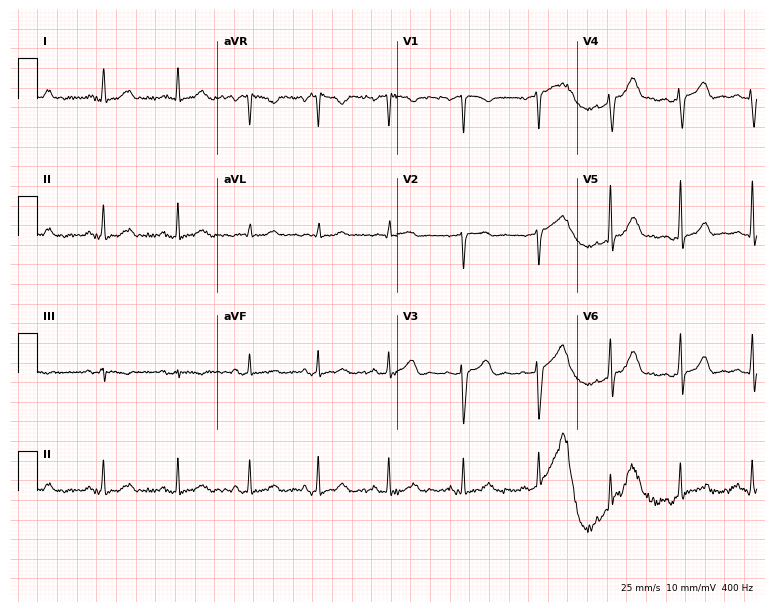
12-lead ECG from a 44-year-old female patient. Recorded interpretation: within normal limits.